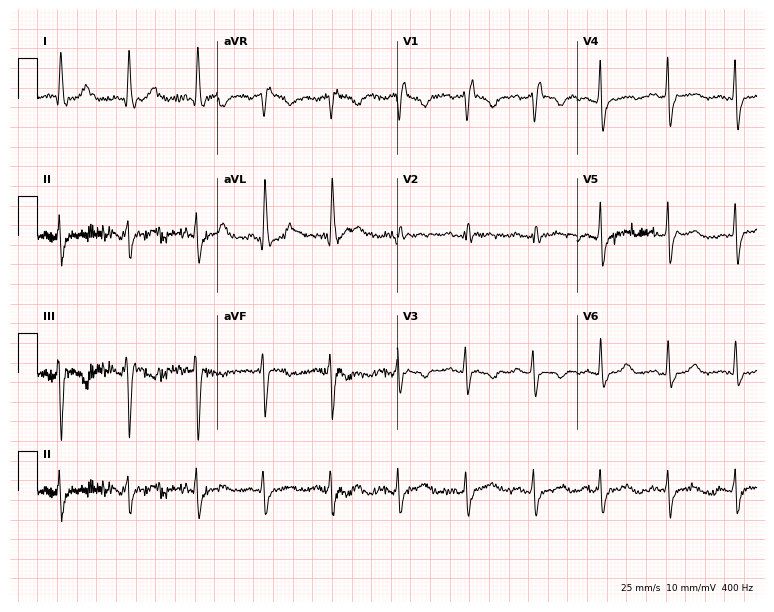
12-lead ECG from a woman, 67 years old. Findings include right bundle branch block.